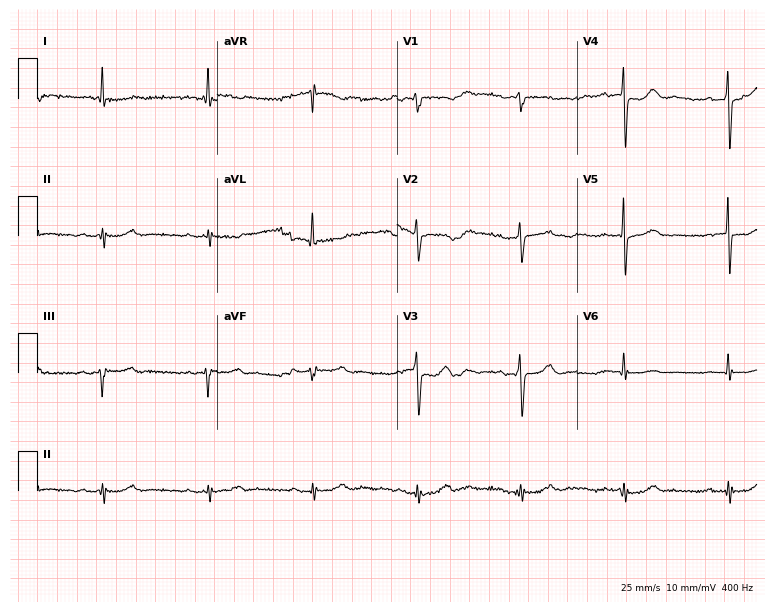
ECG (7.3-second recording at 400 Hz) — a female, 76 years old. Screened for six findings — first-degree AV block, right bundle branch block, left bundle branch block, sinus bradycardia, atrial fibrillation, sinus tachycardia — none is recorded.